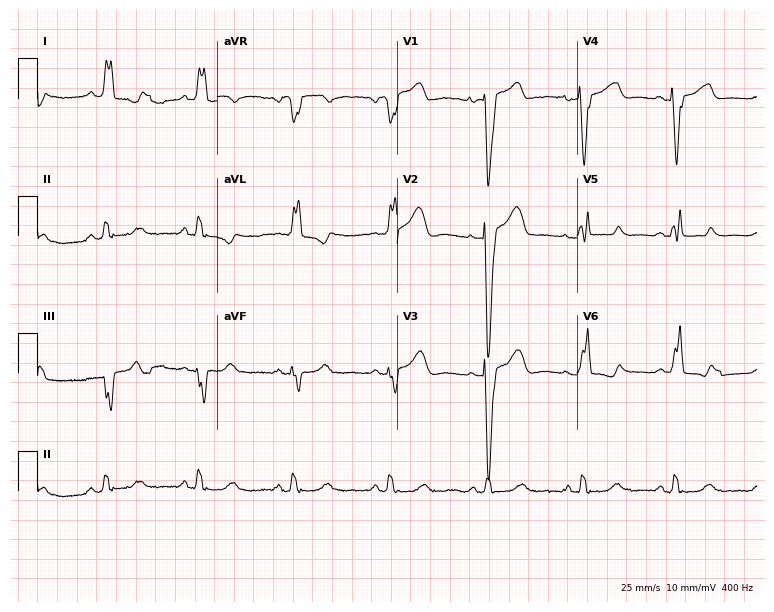
Standard 12-lead ECG recorded from a 52-year-old female patient. The tracing shows left bundle branch block.